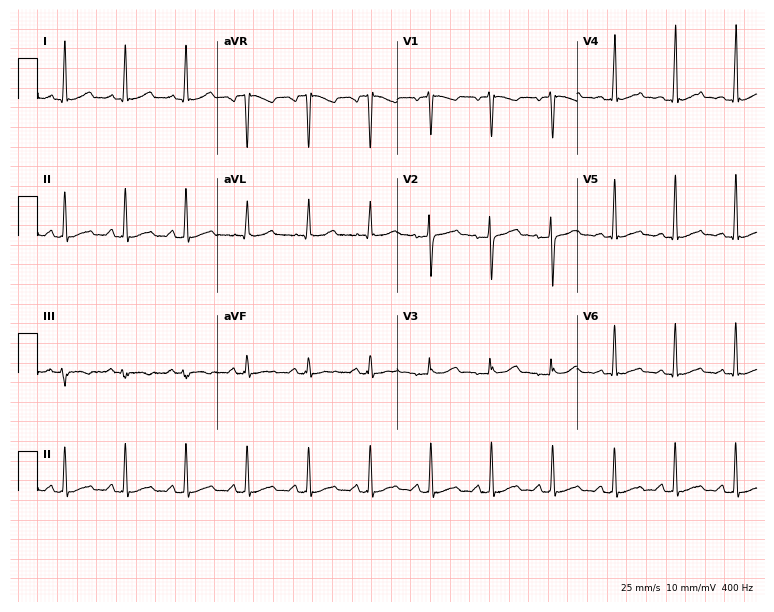
12-lead ECG from a 32-year-old female patient. No first-degree AV block, right bundle branch block (RBBB), left bundle branch block (LBBB), sinus bradycardia, atrial fibrillation (AF) or sinus tachycardia recorded for this tracing.